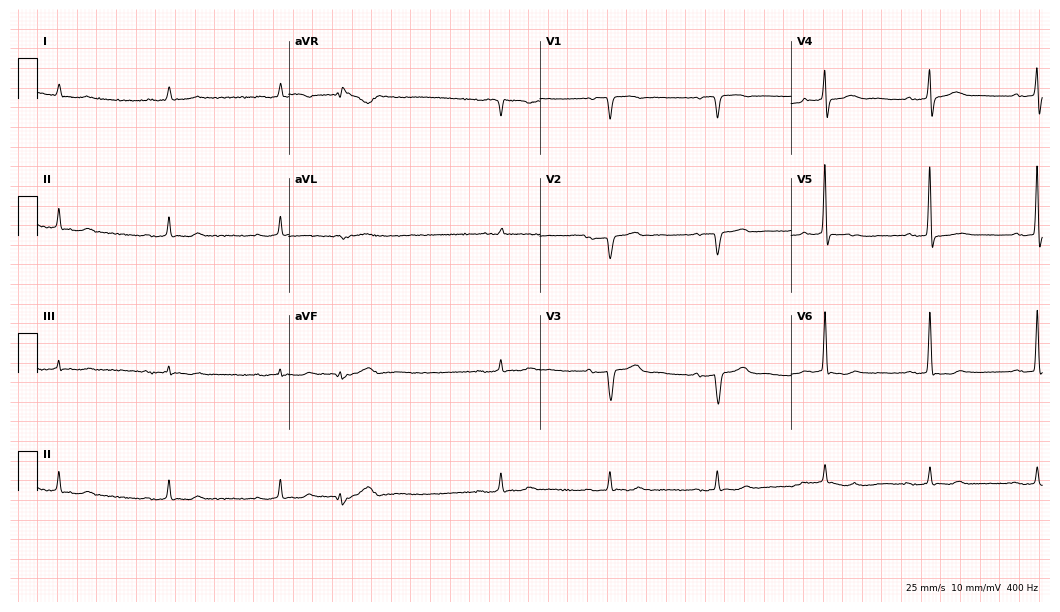
ECG (10.2-second recording at 400 Hz) — an 81-year-old male patient. Screened for six findings — first-degree AV block, right bundle branch block, left bundle branch block, sinus bradycardia, atrial fibrillation, sinus tachycardia — none is recorded.